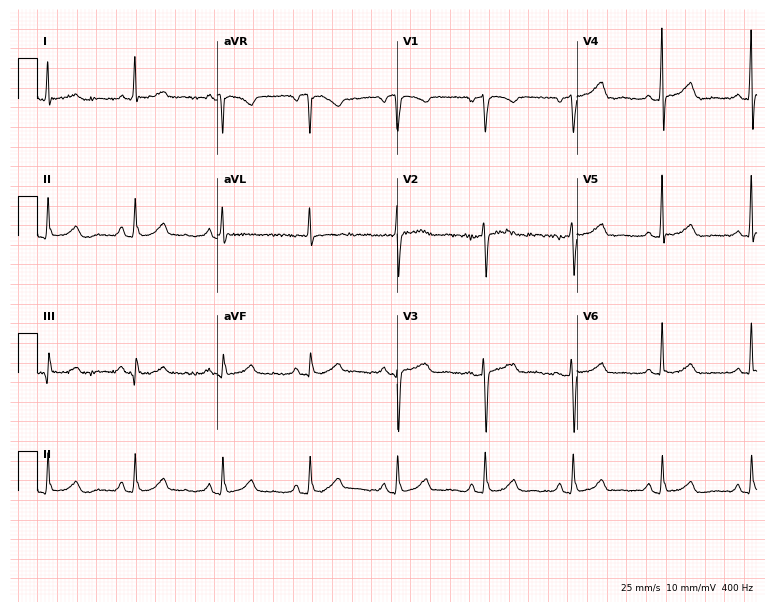
ECG (7.3-second recording at 400 Hz) — a female, 74 years old. Labelled as a normal ECG.